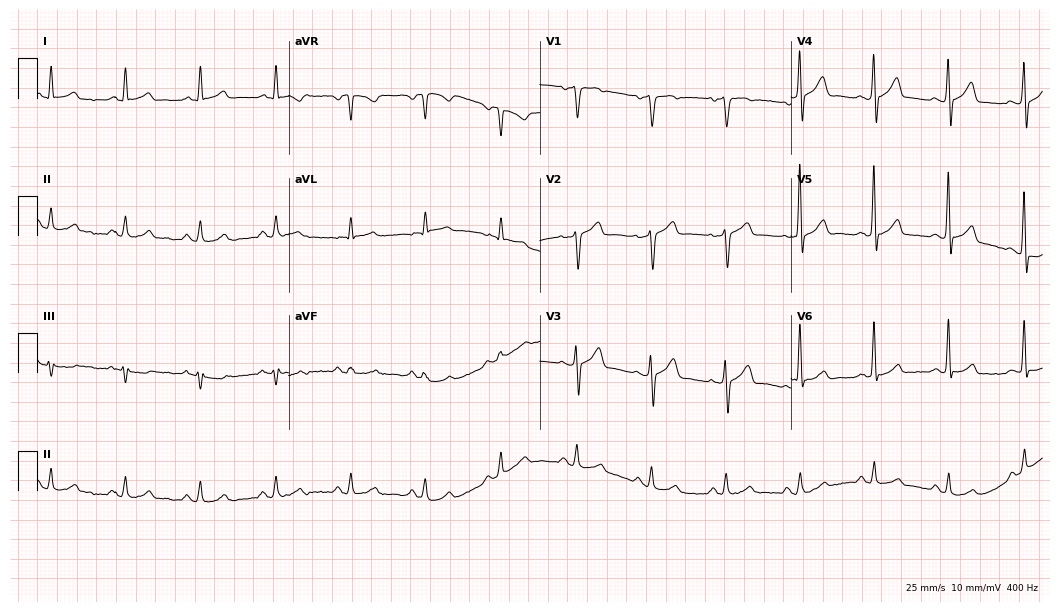
Resting 12-lead electrocardiogram. Patient: a man, 55 years old. None of these six findings is recorded: first-degree AV block, right bundle branch block, left bundle branch block, sinus bradycardia, atrial fibrillation, sinus tachycardia. Findings outside these six are not listed.